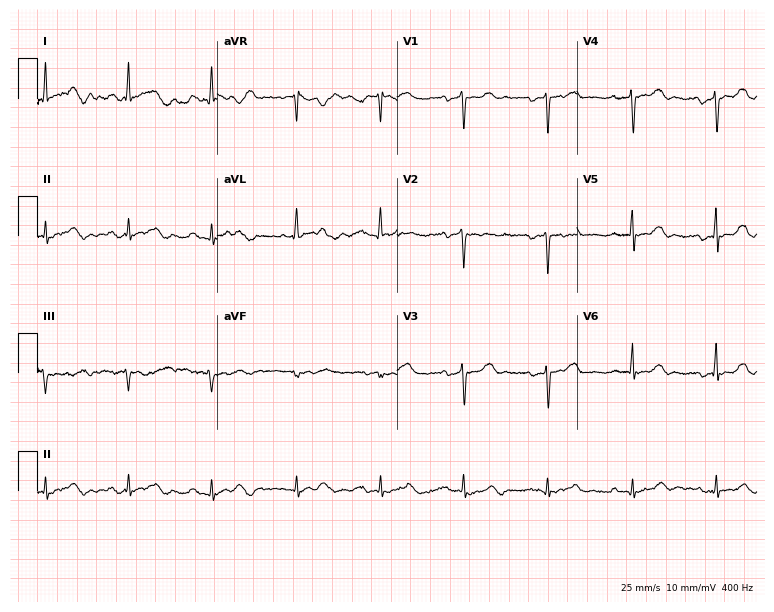
Resting 12-lead electrocardiogram (7.3-second recording at 400 Hz). Patient: a 51-year-old female. None of these six findings is recorded: first-degree AV block, right bundle branch block, left bundle branch block, sinus bradycardia, atrial fibrillation, sinus tachycardia.